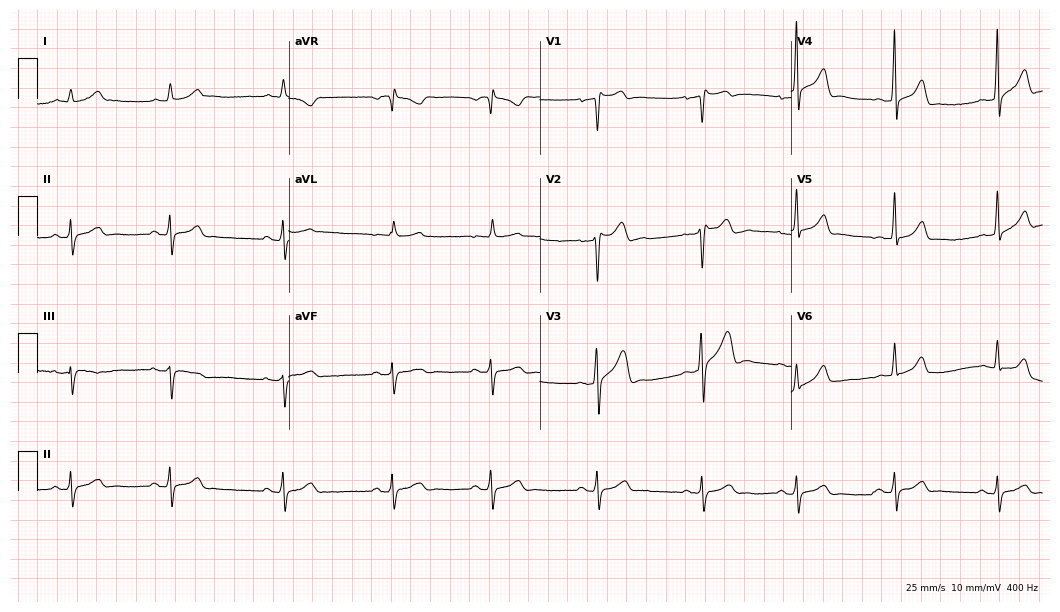
ECG (10.2-second recording at 400 Hz) — a 42-year-old man. Labelled as a normal ECG.